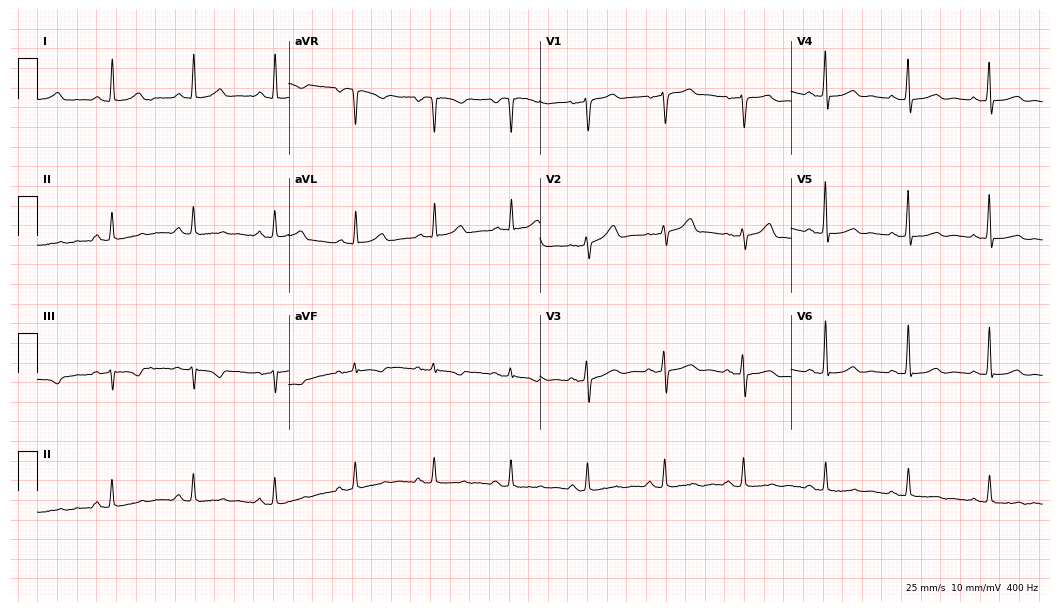
Electrocardiogram, a 59-year-old woman. Of the six screened findings (first-degree AV block, right bundle branch block, left bundle branch block, sinus bradycardia, atrial fibrillation, sinus tachycardia), none is recorded.